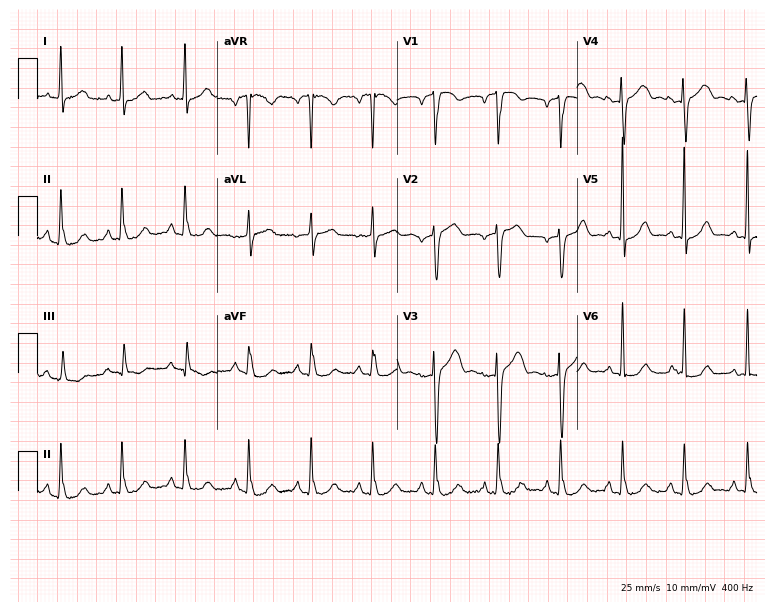
12-lead ECG from a female patient, 79 years old (7.3-second recording at 400 Hz). Recorded interpretation: within normal limits.